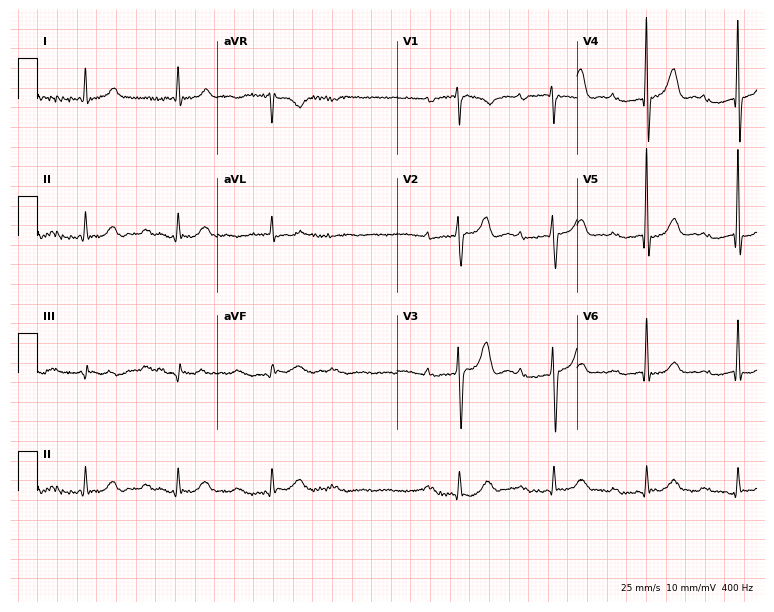
12-lead ECG (7.3-second recording at 400 Hz) from a male patient, 74 years old. Screened for six findings — first-degree AV block, right bundle branch block (RBBB), left bundle branch block (LBBB), sinus bradycardia, atrial fibrillation (AF), sinus tachycardia — none is recorded.